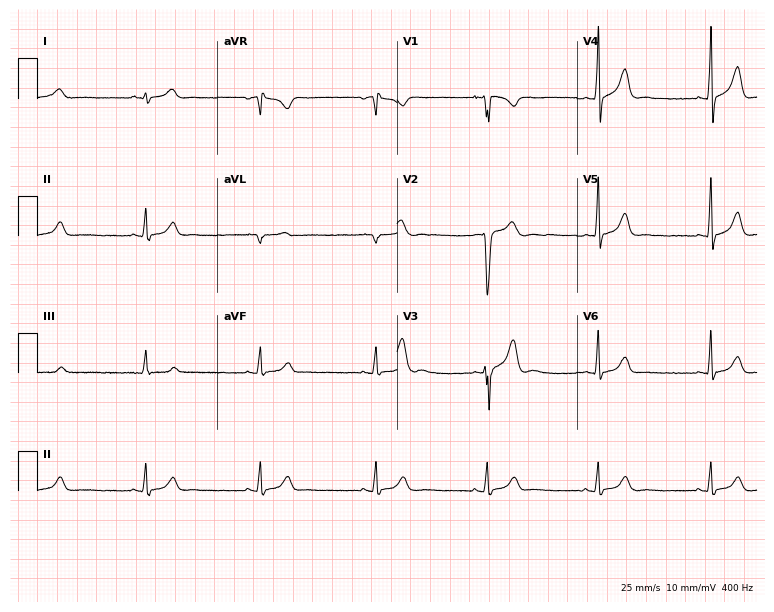
12-lead ECG from a 24-year-old male patient. Screened for six findings — first-degree AV block, right bundle branch block, left bundle branch block, sinus bradycardia, atrial fibrillation, sinus tachycardia — none is recorded.